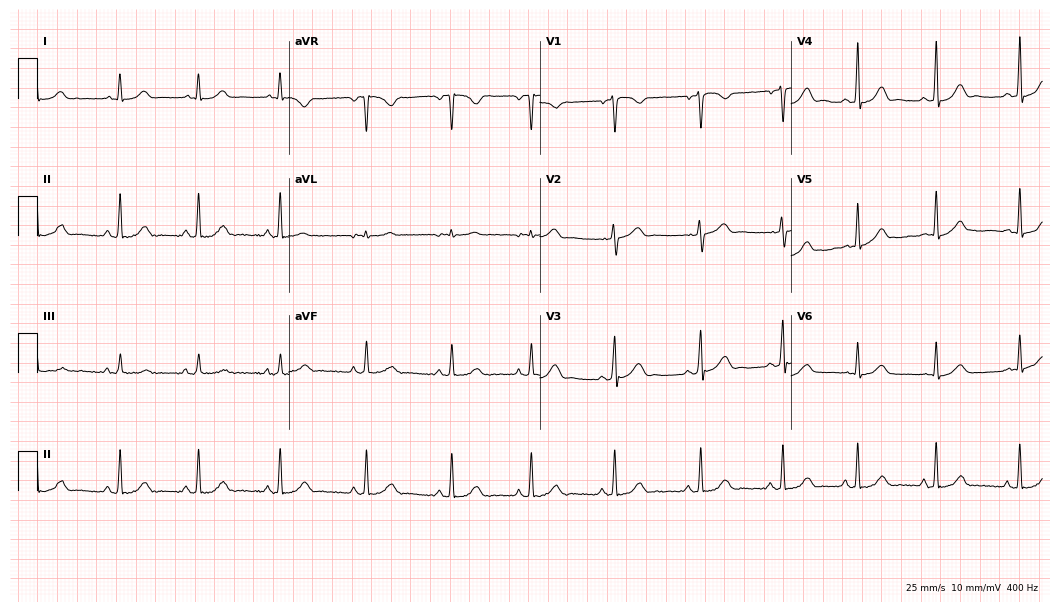
Electrocardiogram (10.2-second recording at 400 Hz), a 17-year-old female. Overall reading on record: normal ECG.